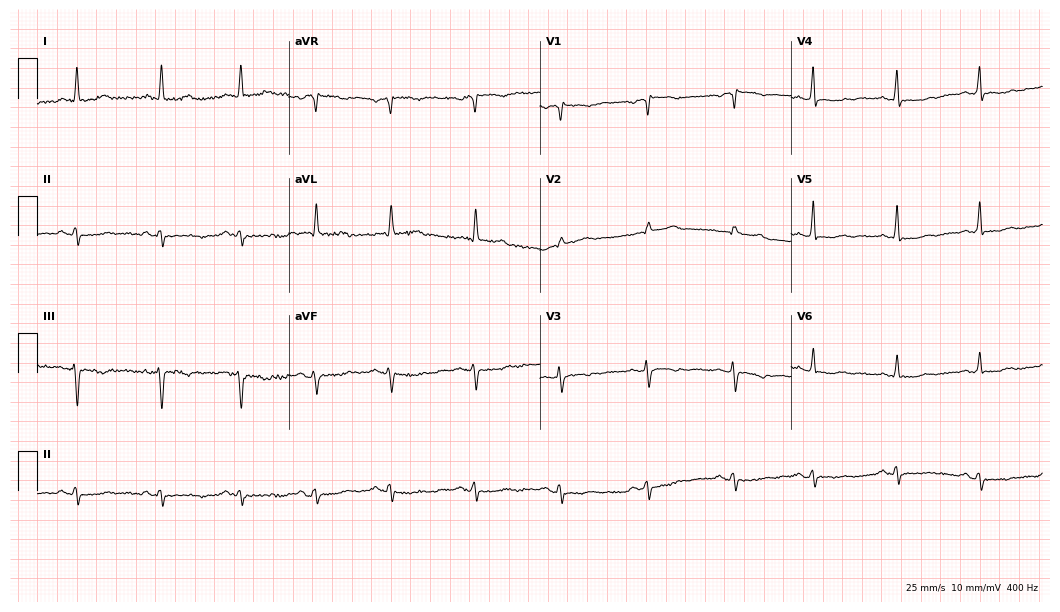
12-lead ECG from a 69-year-old woman (10.2-second recording at 400 Hz). Recorded interpretation: within normal limits.